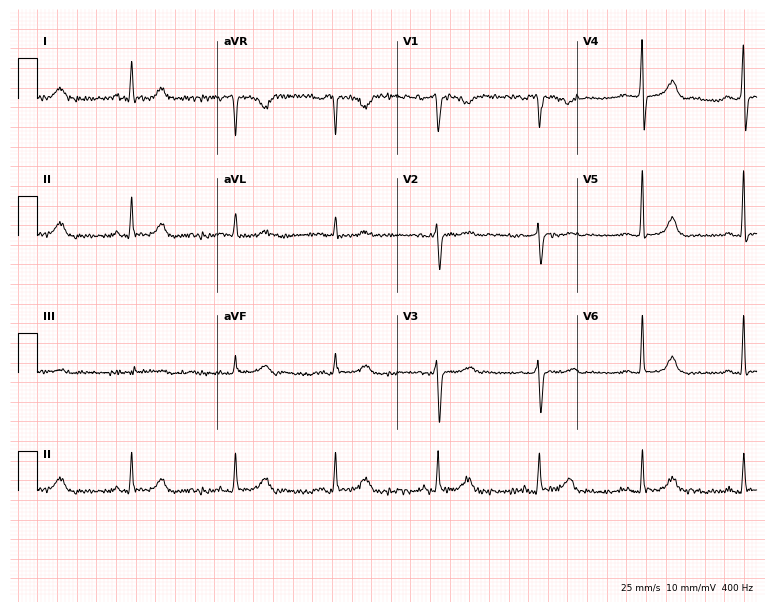
12-lead ECG from a 58-year-old woman (7.3-second recording at 400 Hz). No first-degree AV block, right bundle branch block (RBBB), left bundle branch block (LBBB), sinus bradycardia, atrial fibrillation (AF) or sinus tachycardia recorded for this tracing. Only these six findings were labelled.